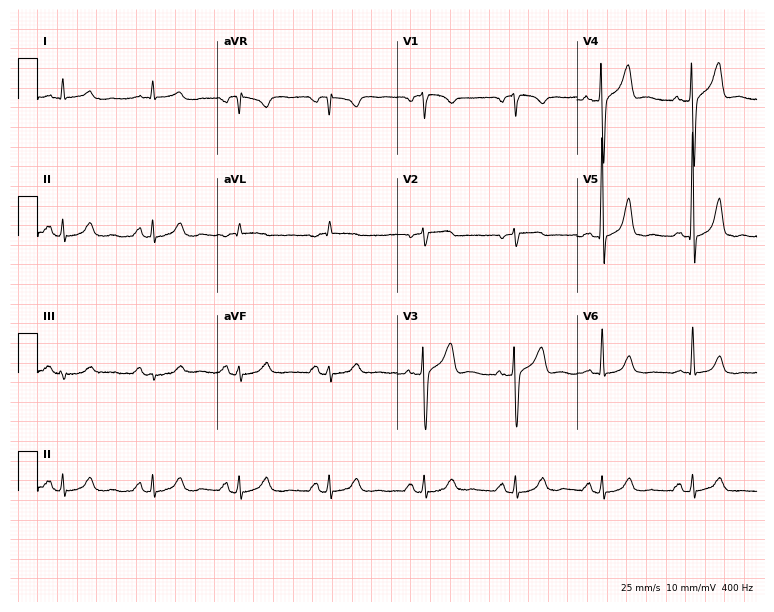
ECG — a 74-year-old male. Screened for six findings — first-degree AV block, right bundle branch block, left bundle branch block, sinus bradycardia, atrial fibrillation, sinus tachycardia — none is recorded.